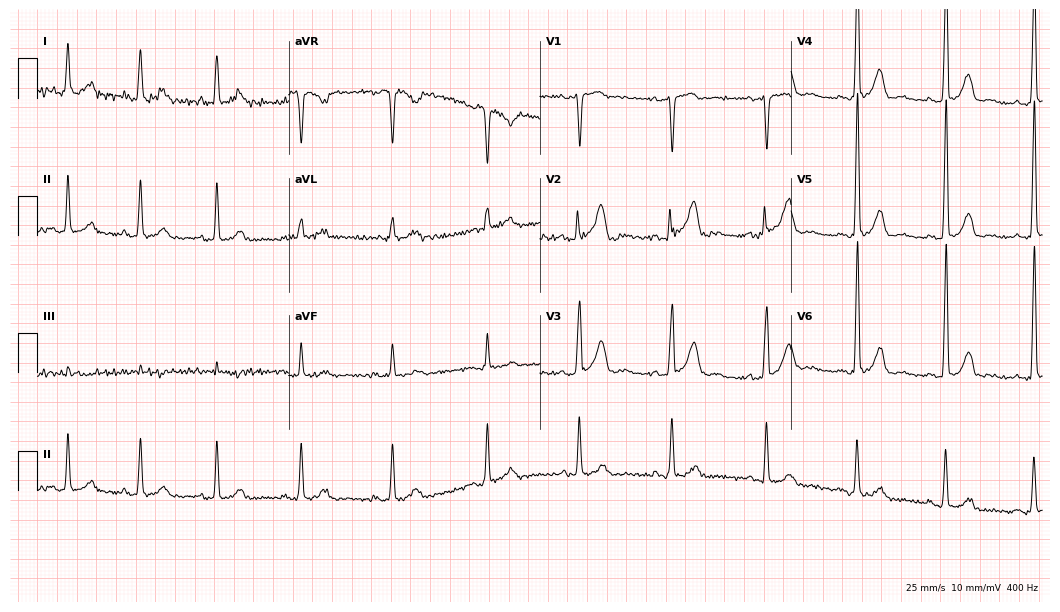
12-lead ECG from a man, 39 years old (10.2-second recording at 400 Hz). Recorded interpretation: within normal limits.